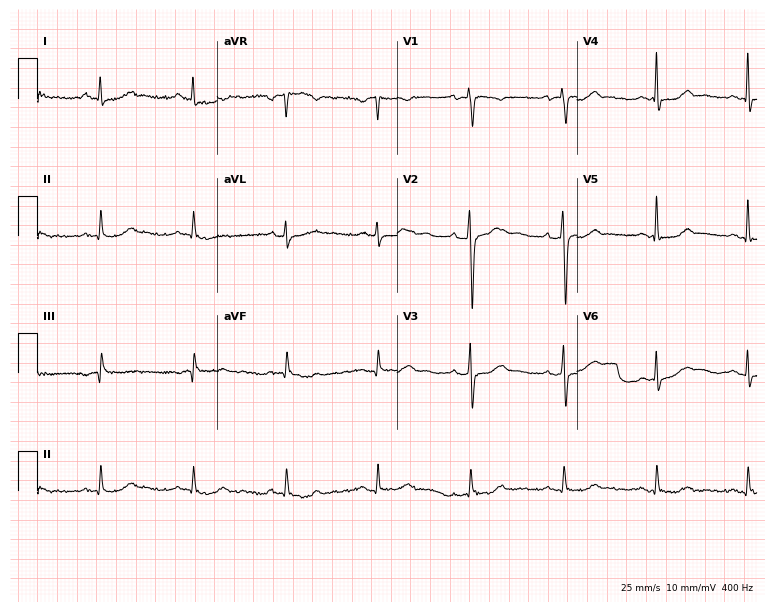
Resting 12-lead electrocardiogram. Patient: a 56-year-old woman. Read as a normal ECG.